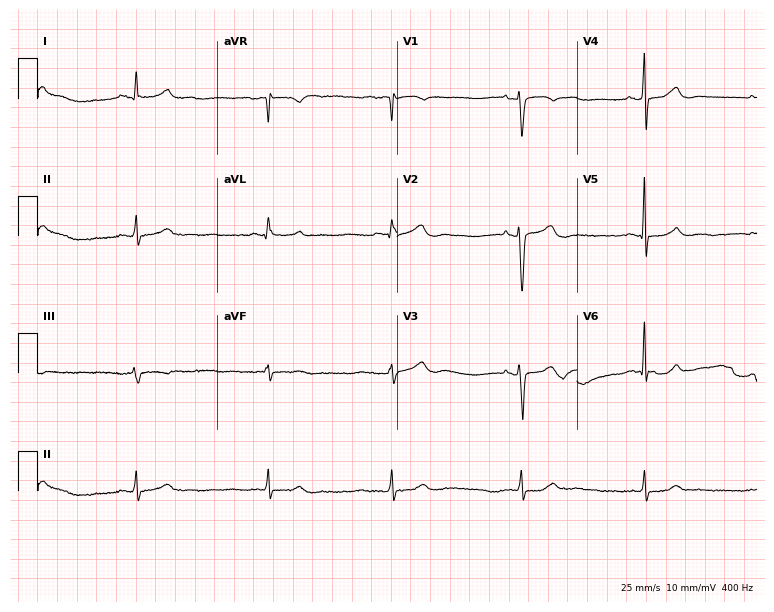
12-lead ECG from a woman, 45 years old. No first-degree AV block, right bundle branch block (RBBB), left bundle branch block (LBBB), sinus bradycardia, atrial fibrillation (AF) or sinus tachycardia recorded for this tracing.